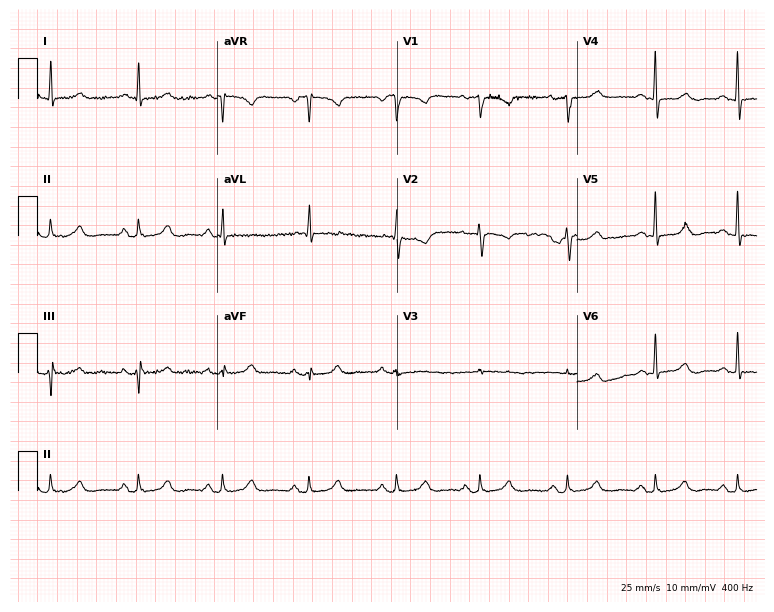
Standard 12-lead ECG recorded from a 62-year-old woman (7.3-second recording at 400 Hz). None of these six findings is recorded: first-degree AV block, right bundle branch block, left bundle branch block, sinus bradycardia, atrial fibrillation, sinus tachycardia.